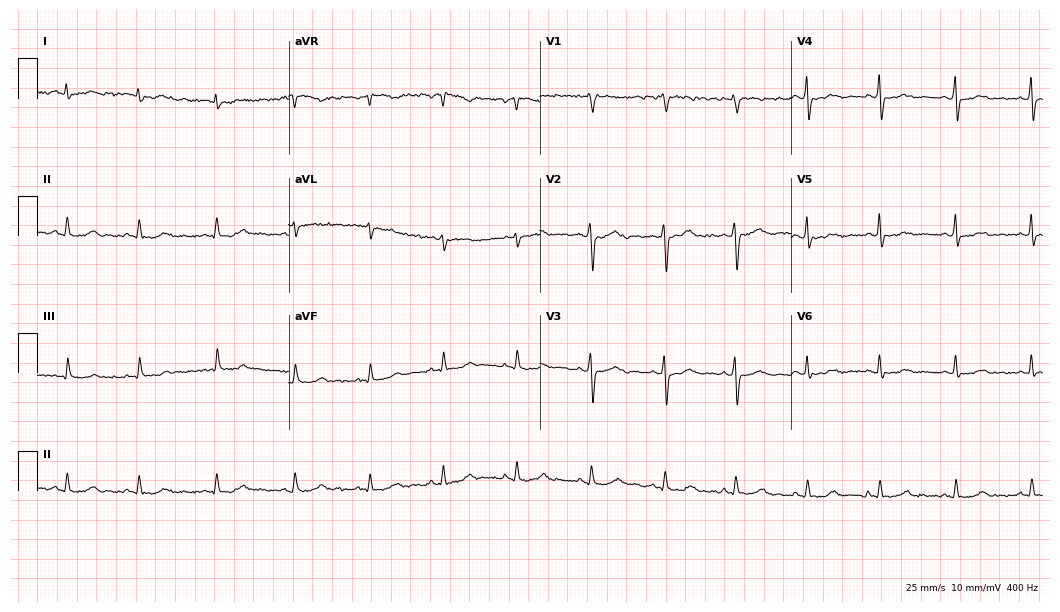
Resting 12-lead electrocardiogram. Patient: a 40-year-old woman. None of these six findings is recorded: first-degree AV block, right bundle branch block (RBBB), left bundle branch block (LBBB), sinus bradycardia, atrial fibrillation (AF), sinus tachycardia.